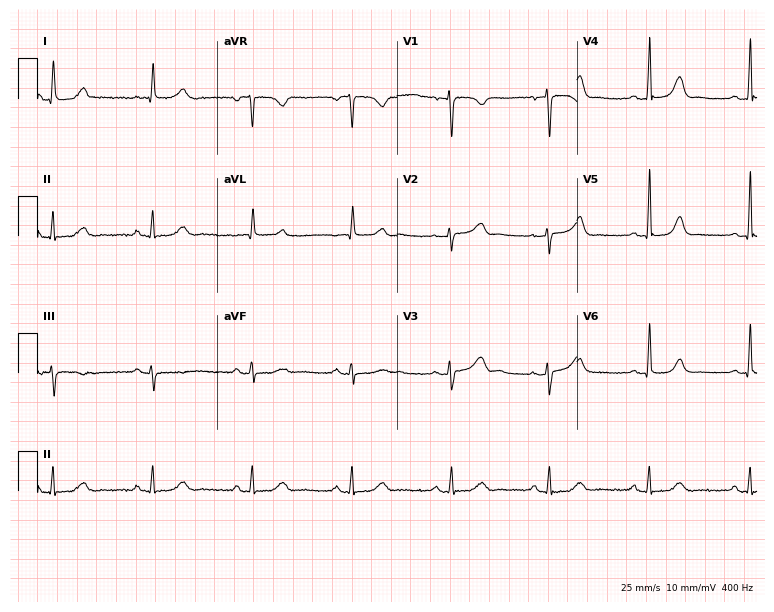
Standard 12-lead ECG recorded from a female, 49 years old. None of these six findings is recorded: first-degree AV block, right bundle branch block, left bundle branch block, sinus bradycardia, atrial fibrillation, sinus tachycardia. Findings outside these six are not listed.